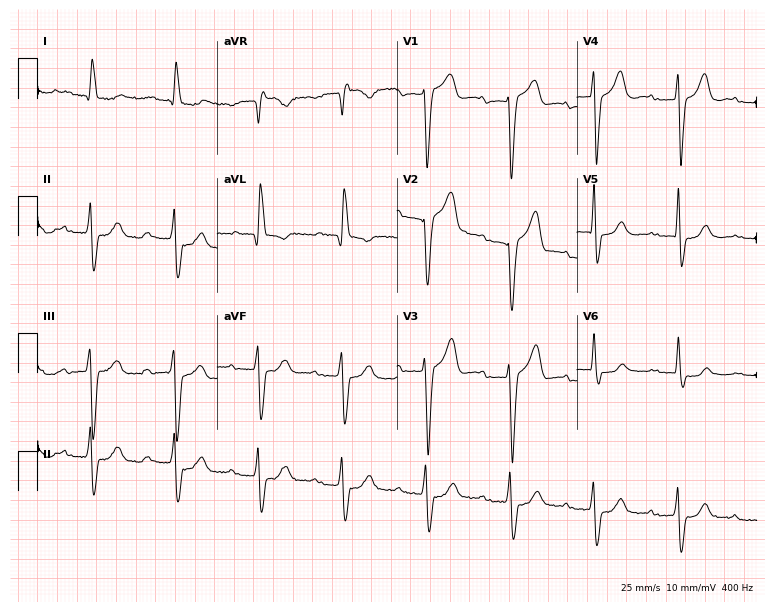
12-lead ECG (7.3-second recording at 400 Hz) from a man, 82 years old. Findings include first-degree AV block.